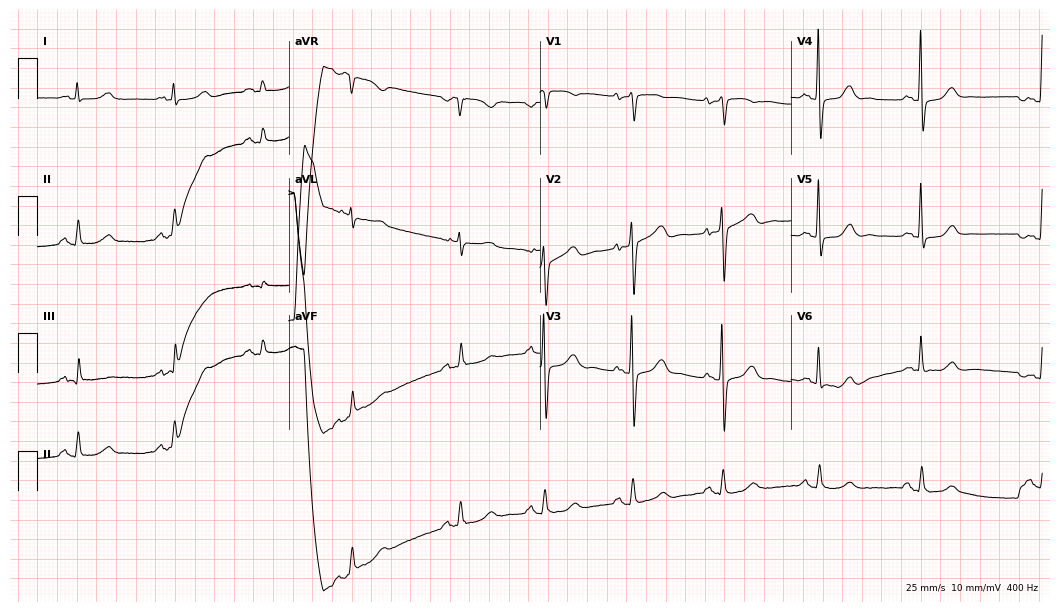
12-lead ECG from an 83-year-old female. Screened for six findings — first-degree AV block, right bundle branch block, left bundle branch block, sinus bradycardia, atrial fibrillation, sinus tachycardia — none is recorded.